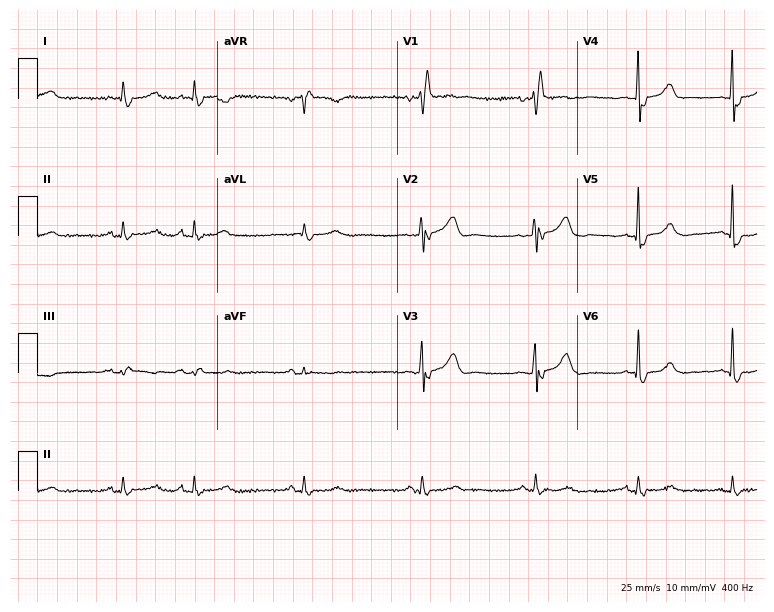
Electrocardiogram, a male, 83 years old. Interpretation includes right bundle branch block (RBBB).